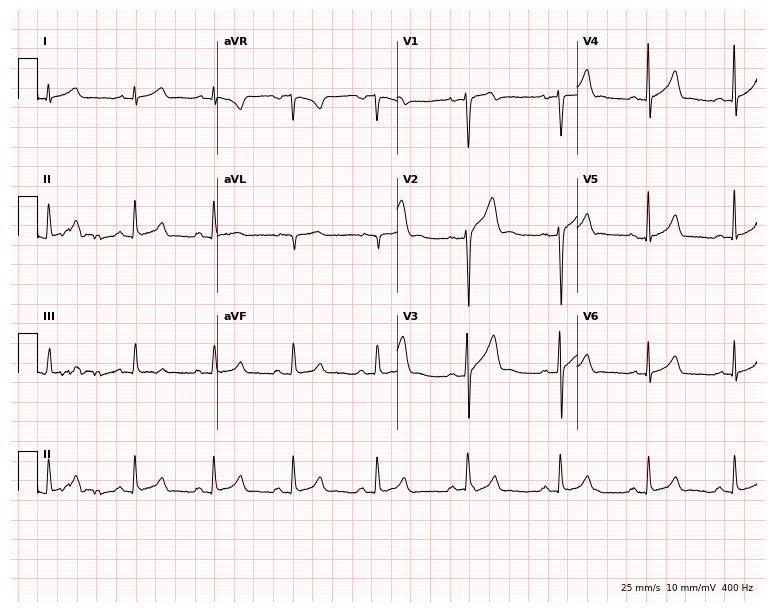
ECG — a 19-year-old male. Labelled as a normal ECG.